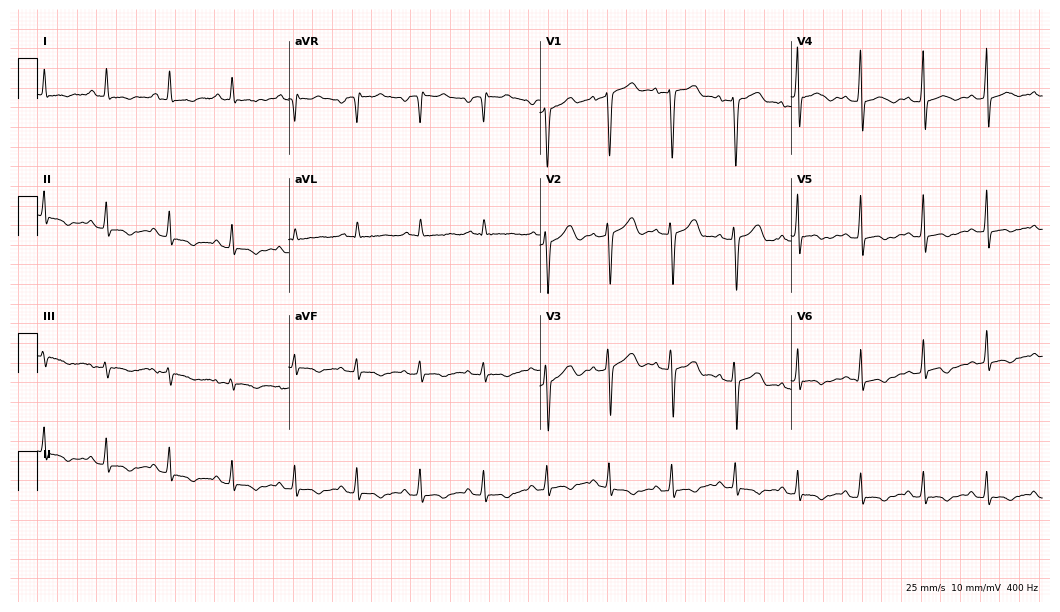
ECG (10.2-second recording at 400 Hz) — a 53-year-old female patient. Screened for six findings — first-degree AV block, right bundle branch block, left bundle branch block, sinus bradycardia, atrial fibrillation, sinus tachycardia — none is recorded.